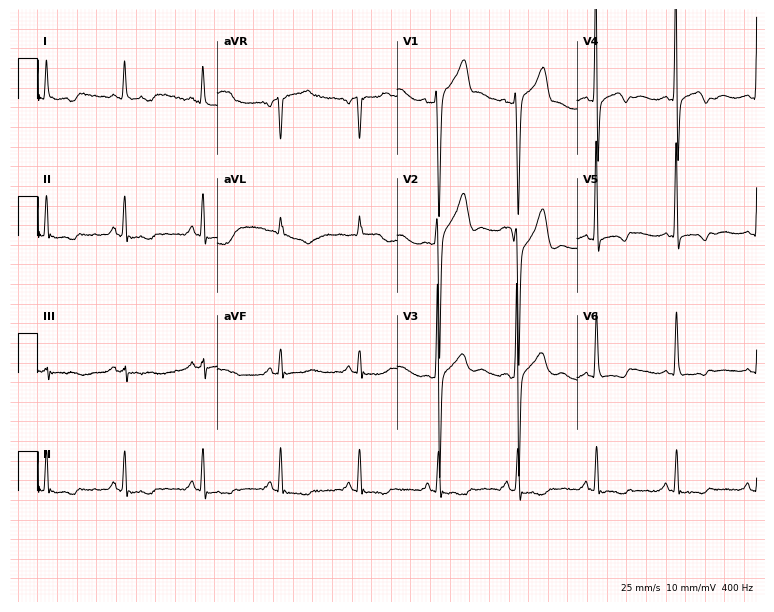
Standard 12-lead ECG recorded from a man, 76 years old (7.3-second recording at 400 Hz). None of these six findings is recorded: first-degree AV block, right bundle branch block, left bundle branch block, sinus bradycardia, atrial fibrillation, sinus tachycardia. Other findings, if any, are not listed.